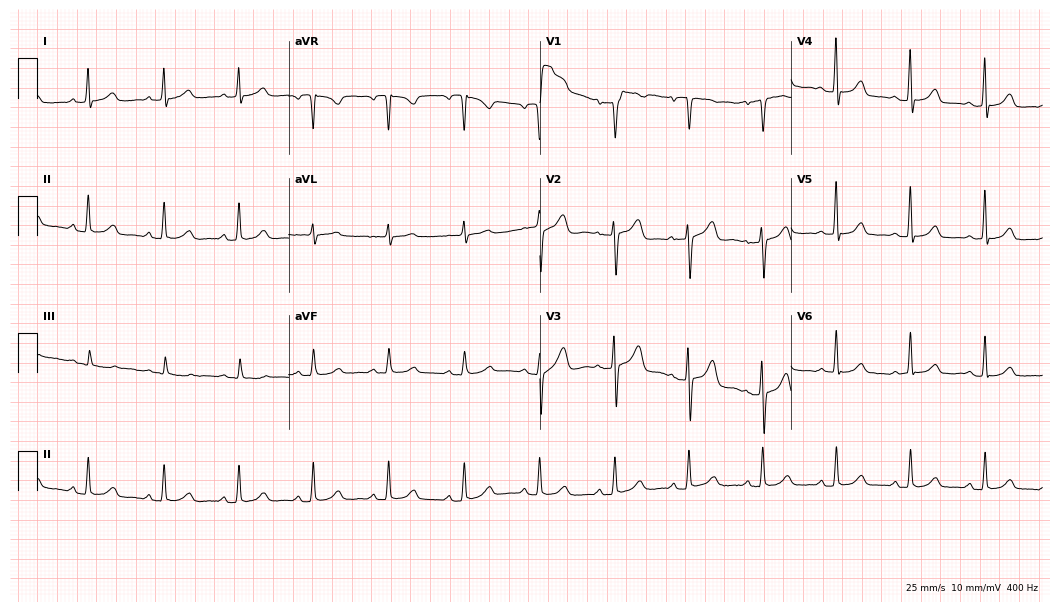
Resting 12-lead electrocardiogram (10.2-second recording at 400 Hz). Patient: a woman, 51 years old. Read as a normal ECG.